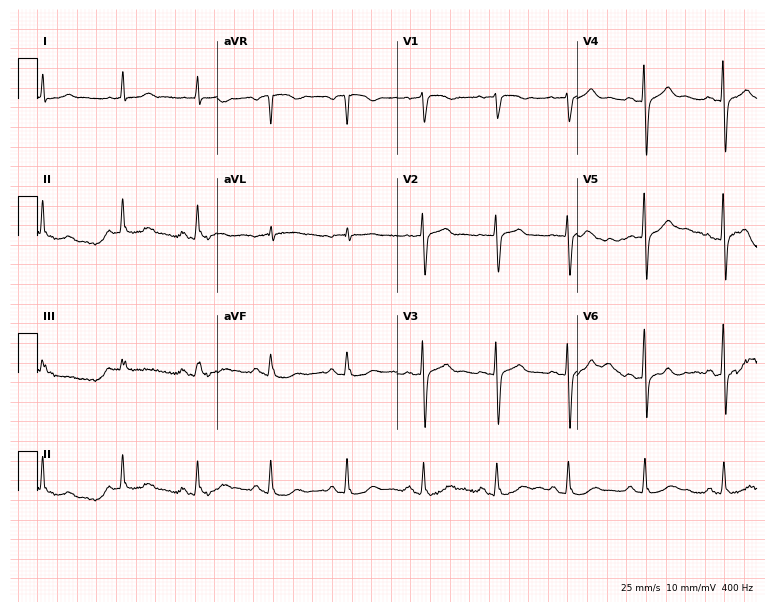
12-lead ECG from a 65-year-old male. Recorded interpretation: within normal limits.